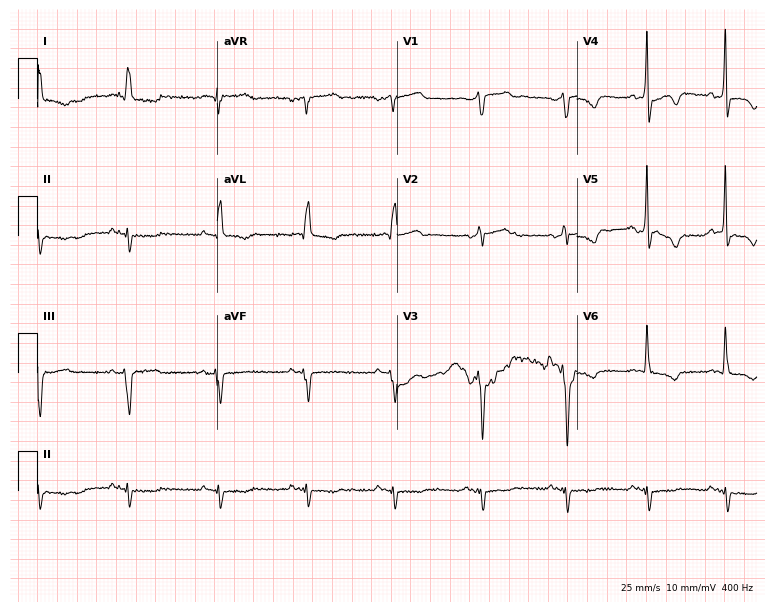
ECG (7.3-second recording at 400 Hz) — a male, 61 years old. Screened for six findings — first-degree AV block, right bundle branch block (RBBB), left bundle branch block (LBBB), sinus bradycardia, atrial fibrillation (AF), sinus tachycardia — none is recorded. Findings outside these six are not listed.